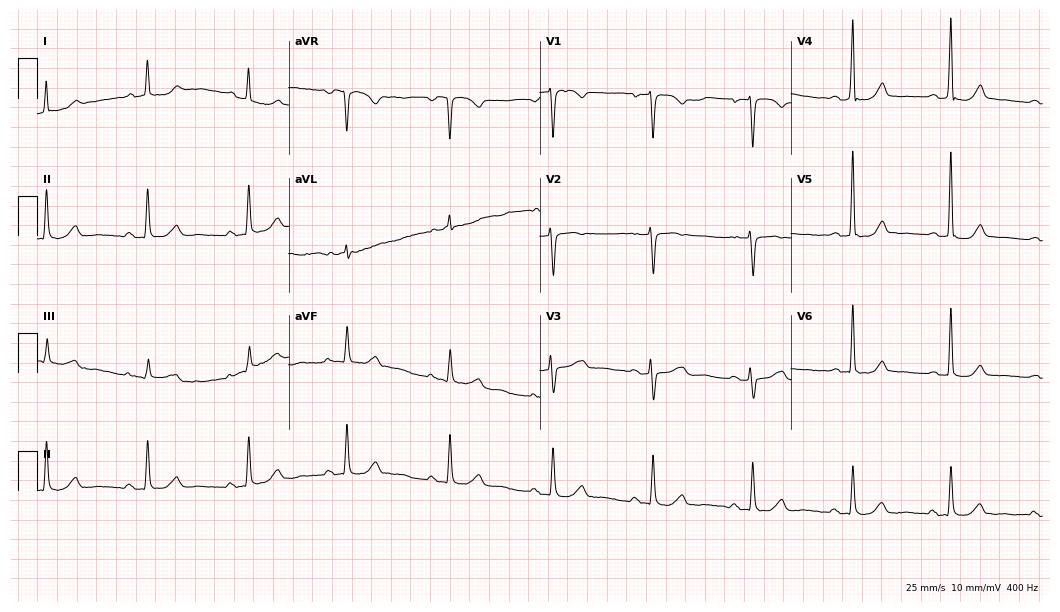
12-lead ECG from a female, 65 years old. Labelled as a normal ECG.